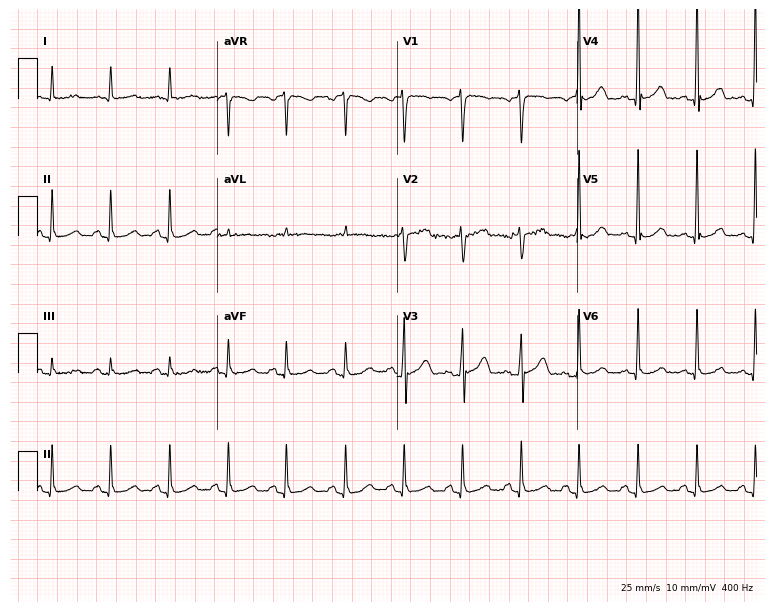
12-lead ECG from a 78-year-old man (7.3-second recording at 400 Hz). No first-degree AV block, right bundle branch block (RBBB), left bundle branch block (LBBB), sinus bradycardia, atrial fibrillation (AF) or sinus tachycardia recorded for this tracing. Only these six findings were labelled.